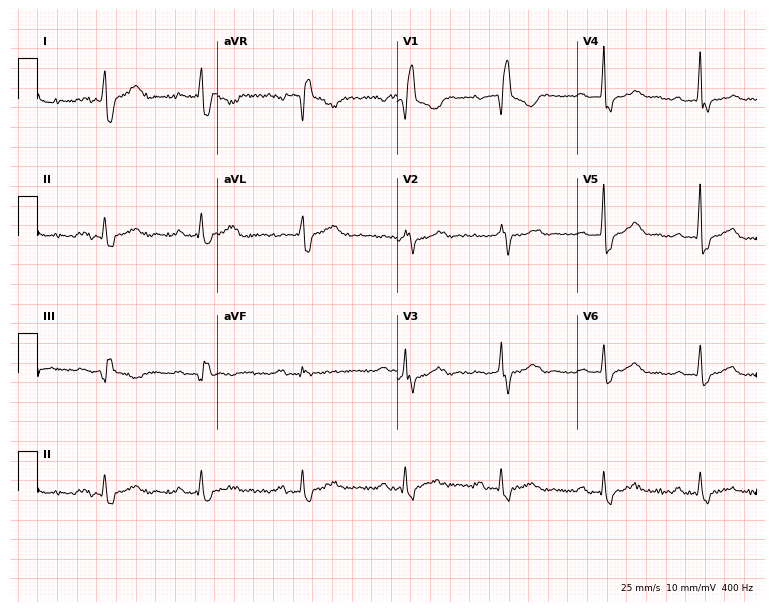
Resting 12-lead electrocardiogram. Patient: a 63-year-old female. The tracing shows right bundle branch block (RBBB).